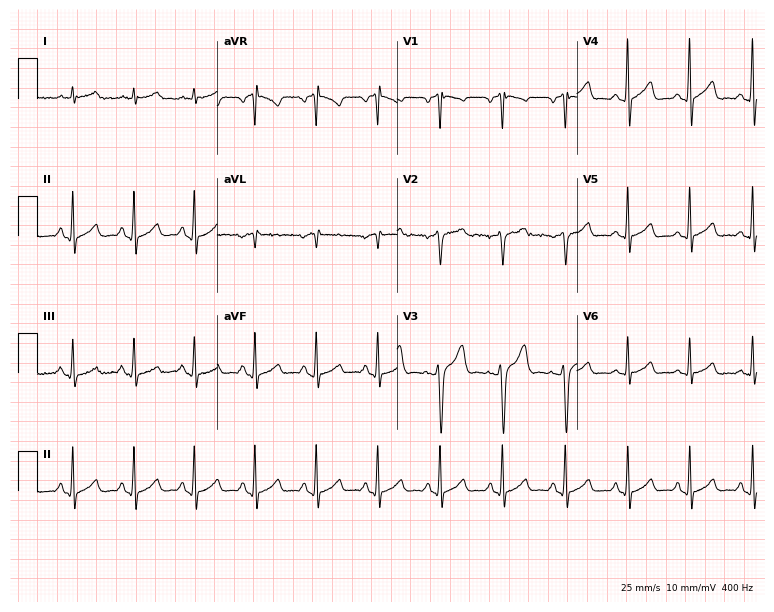
12-lead ECG (7.3-second recording at 400 Hz) from a 24-year-old male patient. Labelled as a normal ECG.